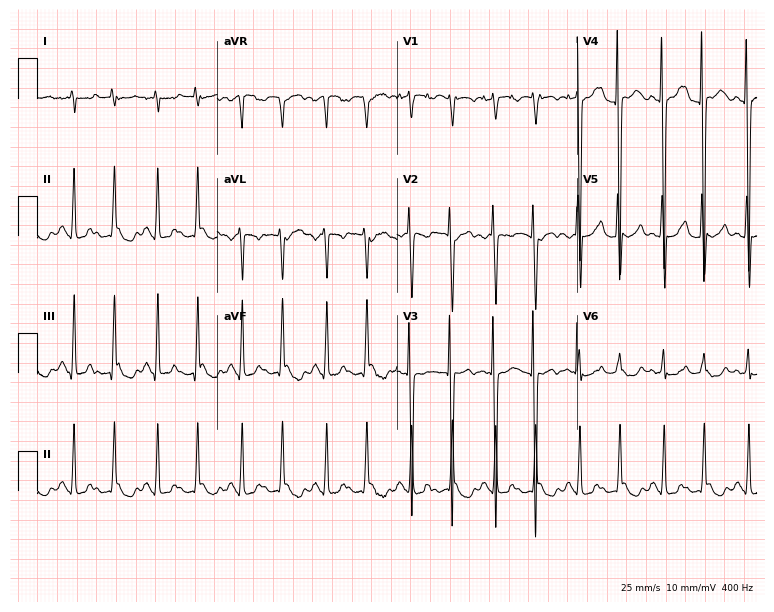
Standard 12-lead ECG recorded from a female patient, 30 years old (7.3-second recording at 400 Hz). The tracing shows atrial fibrillation (AF).